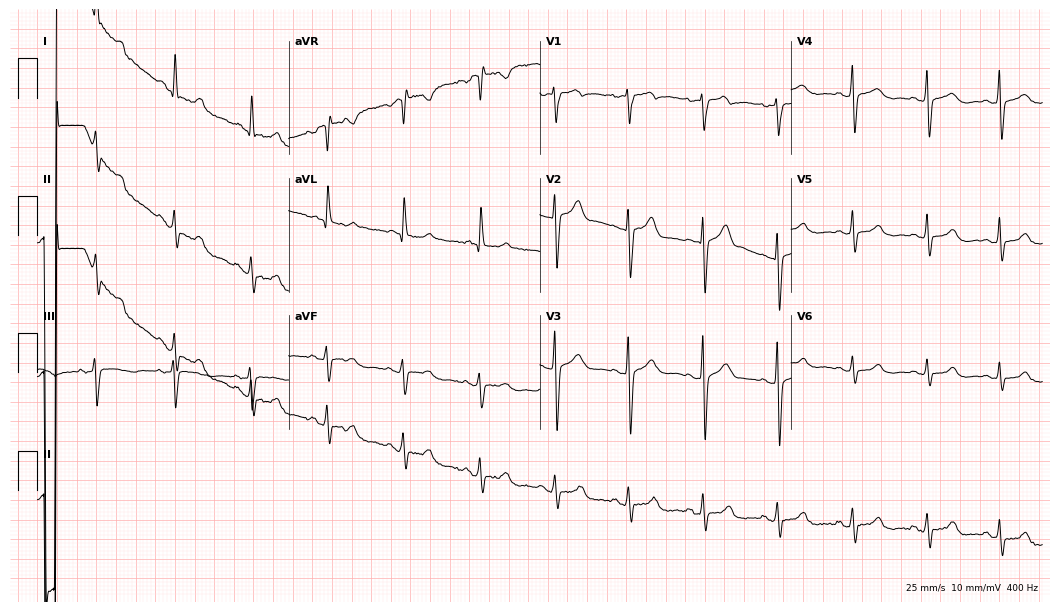
12-lead ECG from a 51-year-old female patient. Screened for six findings — first-degree AV block, right bundle branch block, left bundle branch block, sinus bradycardia, atrial fibrillation, sinus tachycardia — none is recorded.